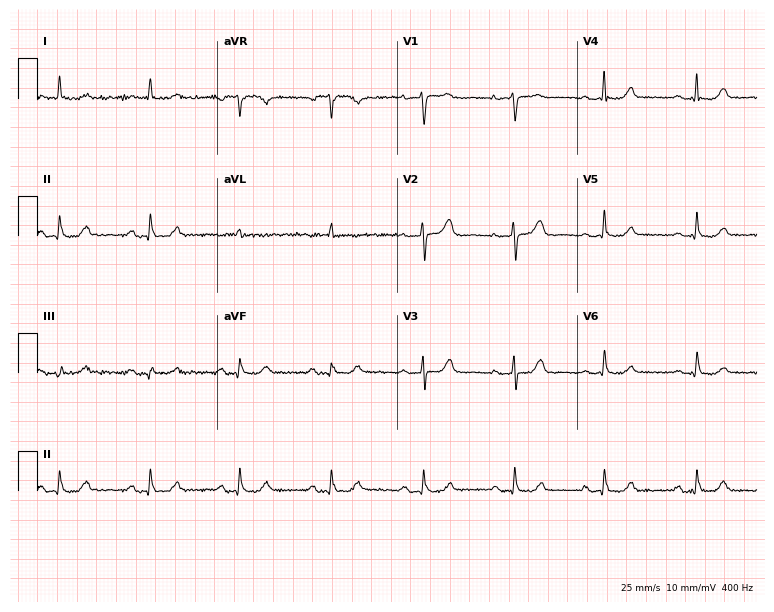
Electrocardiogram, a 55-year-old female. Overall reading on record: normal ECG.